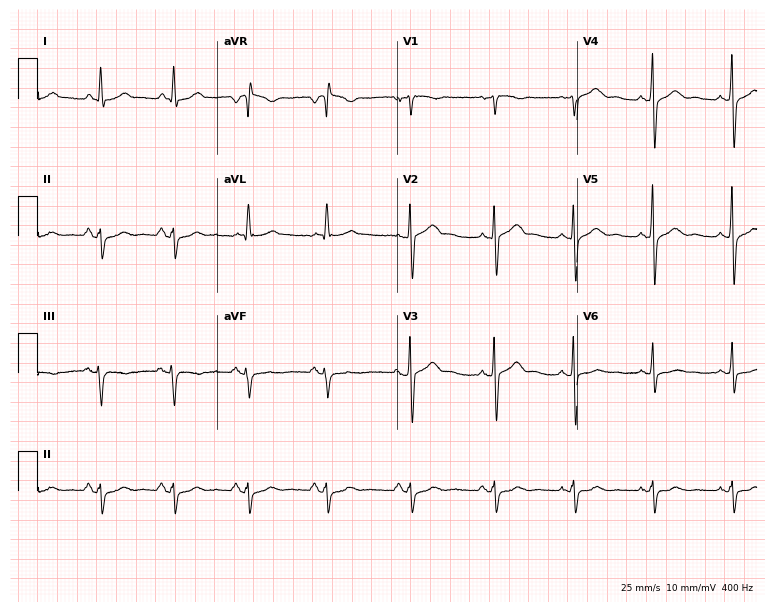
12-lead ECG from a 52-year-old man. Screened for six findings — first-degree AV block, right bundle branch block, left bundle branch block, sinus bradycardia, atrial fibrillation, sinus tachycardia — none is recorded. Only these six findings were labelled.